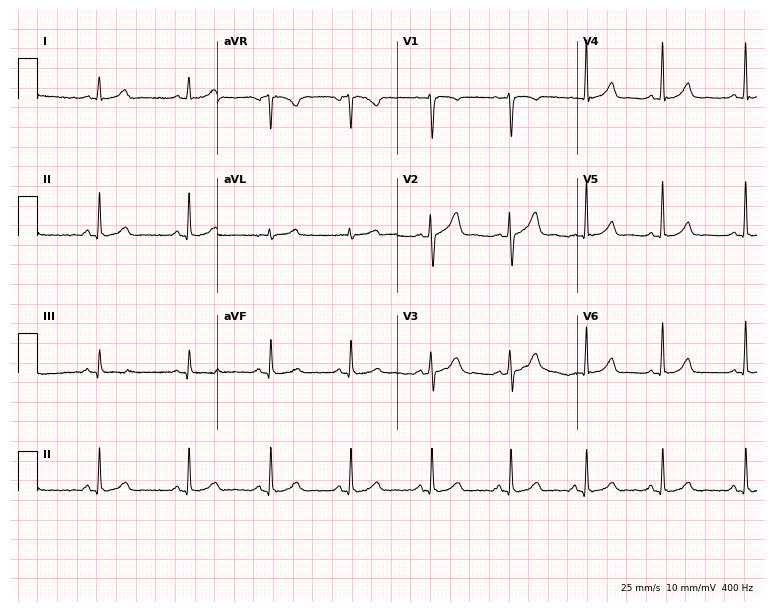
Standard 12-lead ECG recorded from a female, 25 years old. Read as a normal ECG.